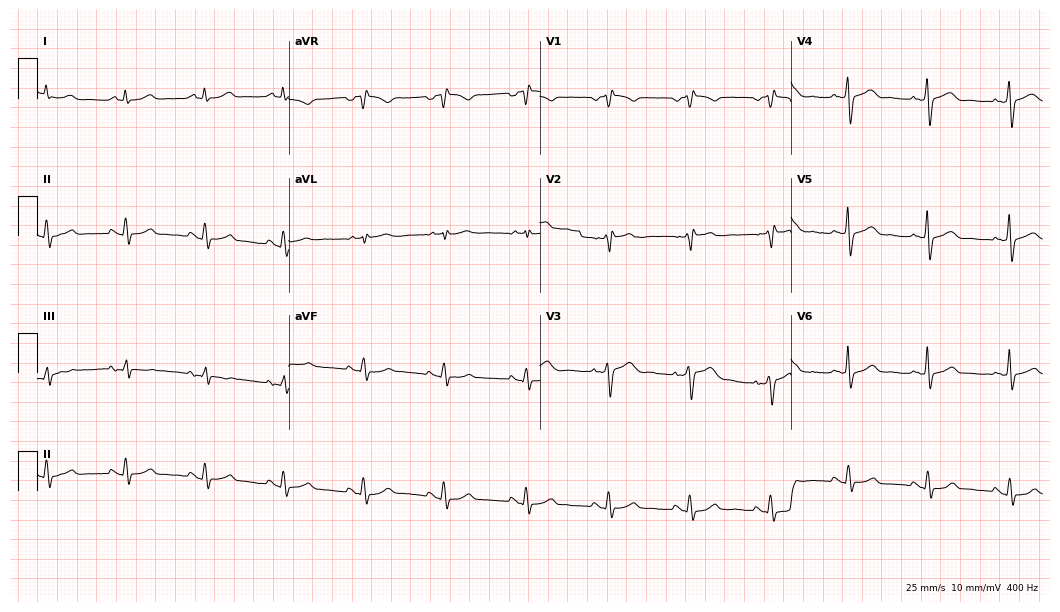
Standard 12-lead ECG recorded from a male patient, 47 years old (10.2-second recording at 400 Hz). None of these six findings is recorded: first-degree AV block, right bundle branch block (RBBB), left bundle branch block (LBBB), sinus bradycardia, atrial fibrillation (AF), sinus tachycardia. Findings outside these six are not listed.